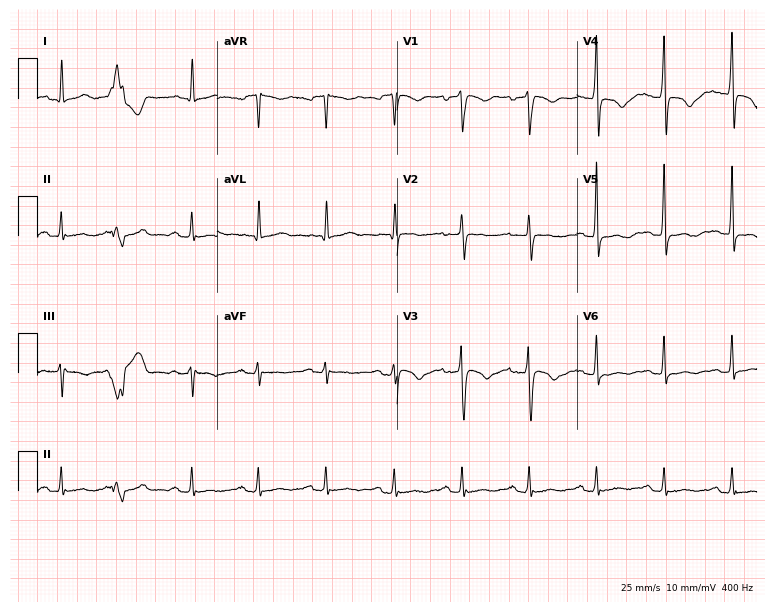
Electrocardiogram, a 47-year-old male patient. Of the six screened findings (first-degree AV block, right bundle branch block, left bundle branch block, sinus bradycardia, atrial fibrillation, sinus tachycardia), none is recorded. Findings outside these six are not listed.